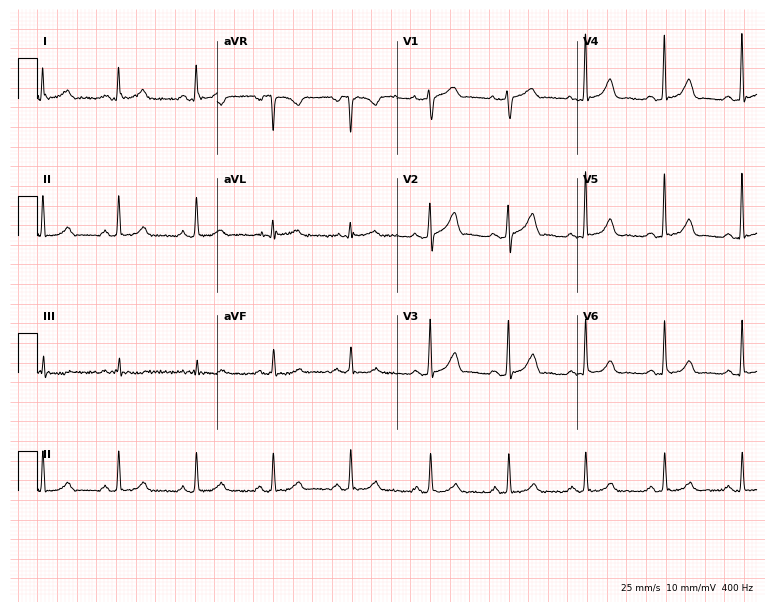
Resting 12-lead electrocardiogram. Patient: a female, 41 years old. None of these six findings is recorded: first-degree AV block, right bundle branch block, left bundle branch block, sinus bradycardia, atrial fibrillation, sinus tachycardia. Other findings, if any, are not listed.